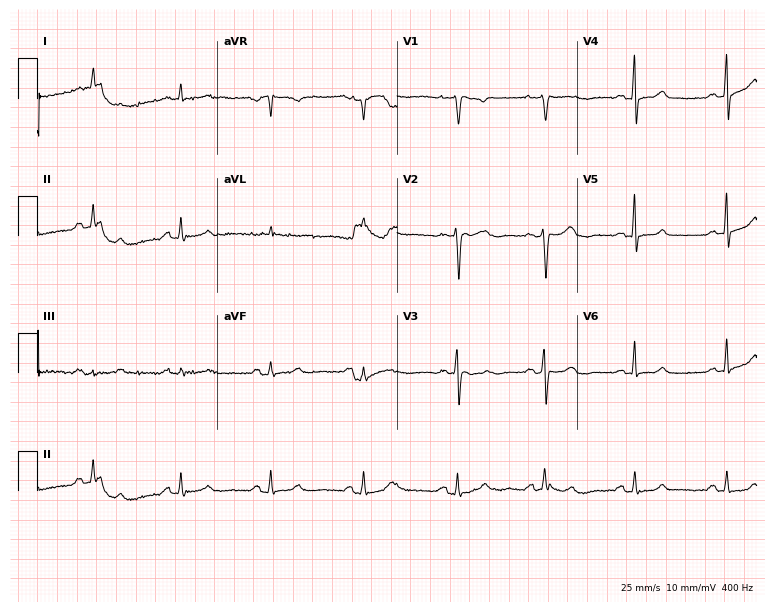
Resting 12-lead electrocardiogram. Patient: a 58-year-old woman. Read as a normal ECG.